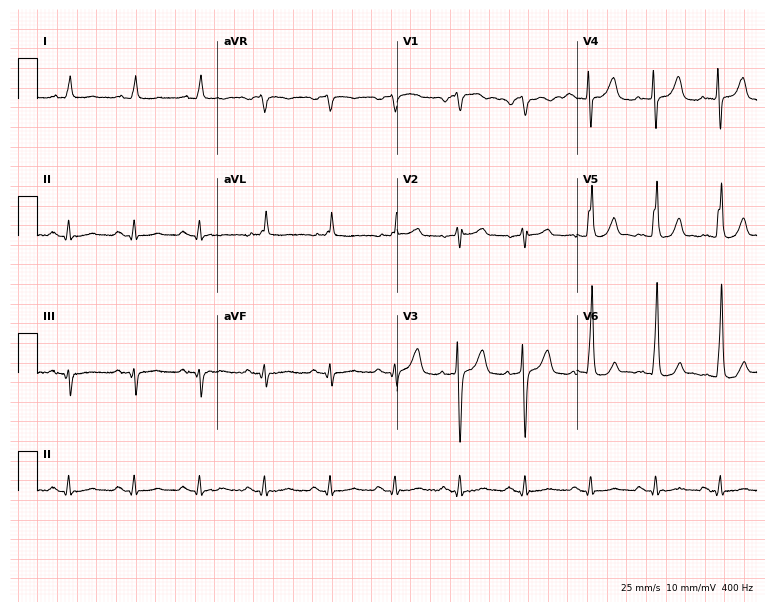
ECG — a male, 63 years old. Screened for six findings — first-degree AV block, right bundle branch block (RBBB), left bundle branch block (LBBB), sinus bradycardia, atrial fibrillation (AF), sinus tachycardia — none is recorded. Findings outside these six are not listed.